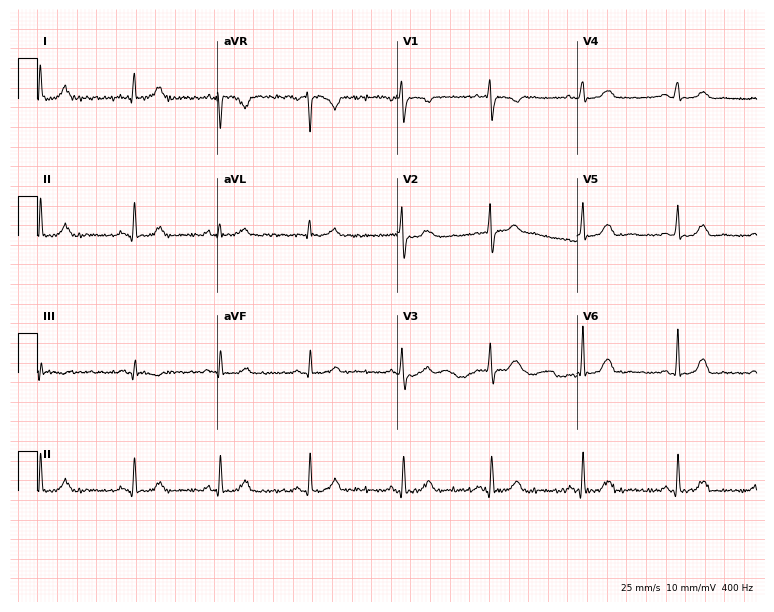
Standard 12-lead ECG recorded from a 28-year-old woman. Read as a normal ECG.